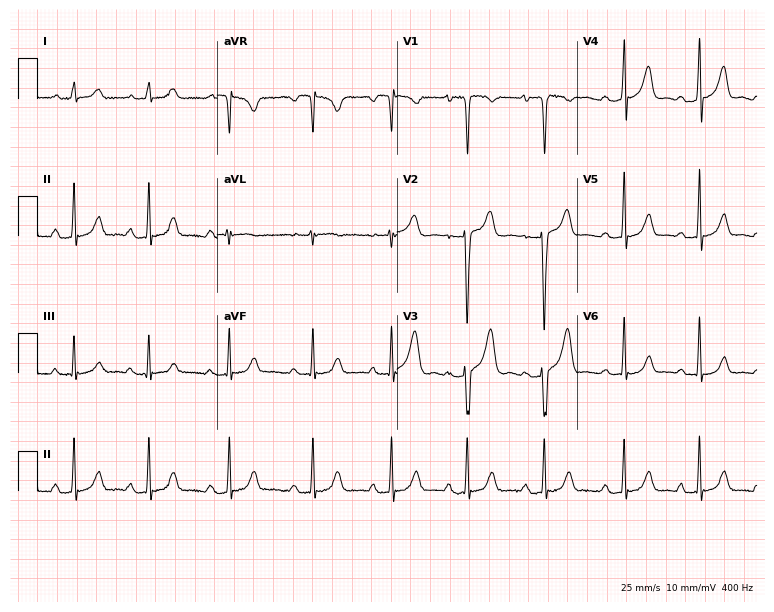
Standard 12-lead ECG recorded from a woman, 22 years old (7.3-second recording at 400 Hz). The tracing shows first-degree AV block.